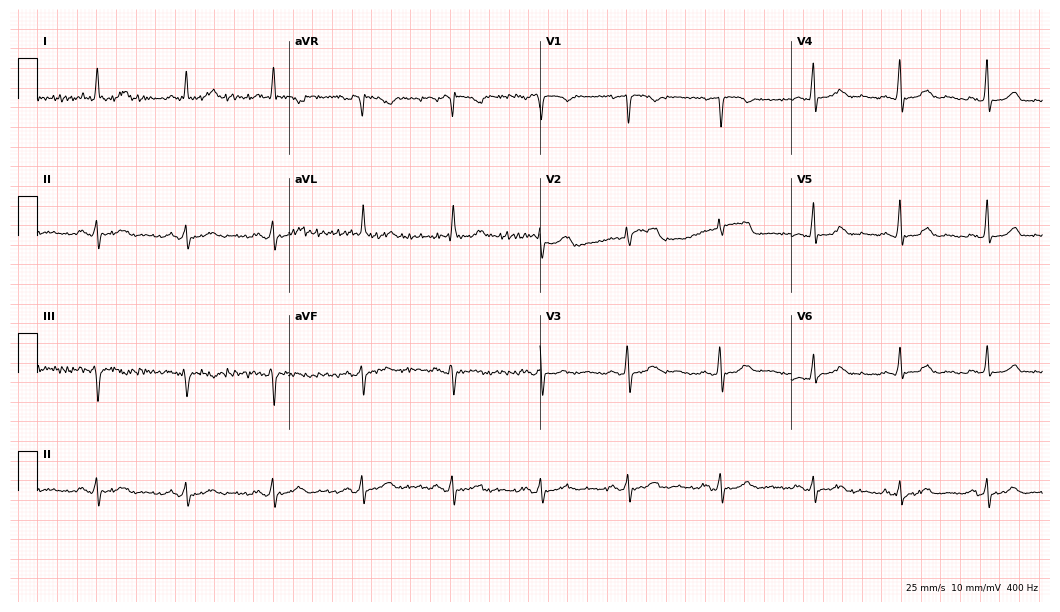
12-lead ECG from a 54-year-old female patient (10.2-second recording at 400 Hz). Recorded interpretation: within normal limits.